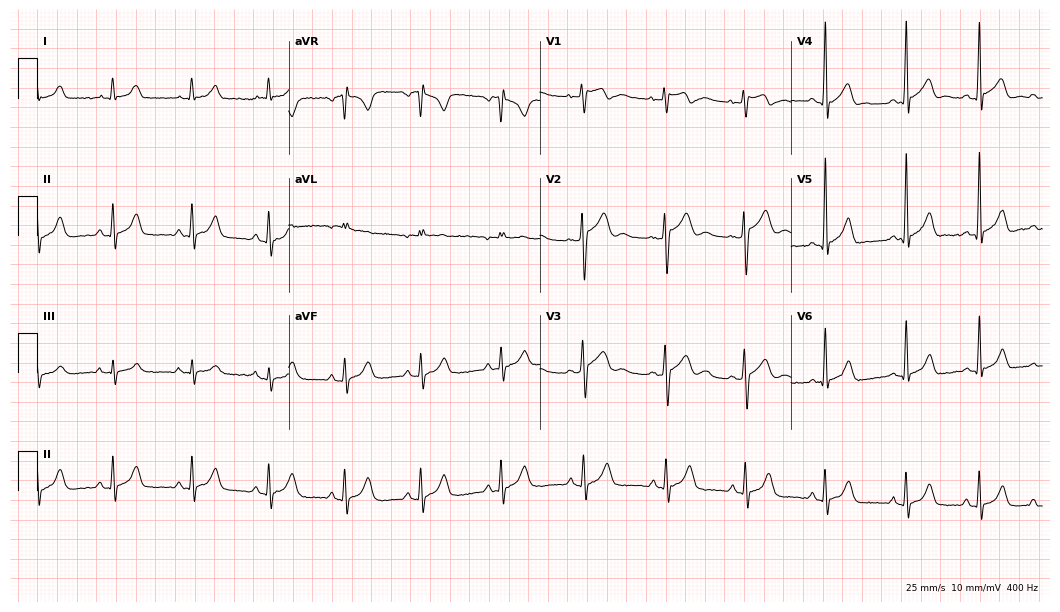
12-lead ECG from a 25-year-old male patient. Labelled as a normal ECG.